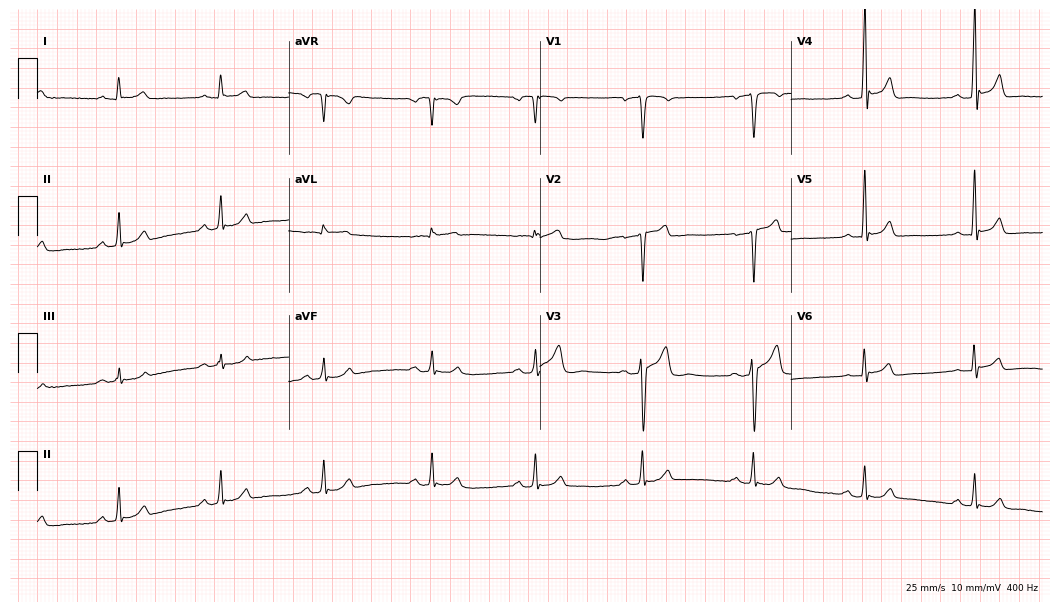
Electrocardiogram (10.2-second recording at 400 Hz), a 66-year-old male. Overall reading on record: normal ECG.